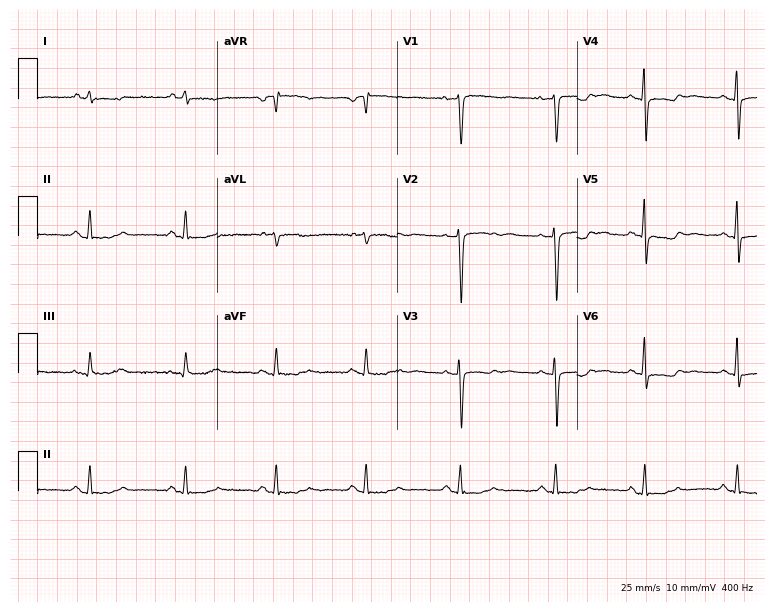
12-lead ECG from a 53-year-old male patient. Screened for six findings — first-degree AV block, right bundle branch block (RBBB), left bundle branch block (LBBB), sinus bradycardia, atrial fibrillation (AF), sinus tachycardia — none is recorded. Other findings, if any, are not listed.